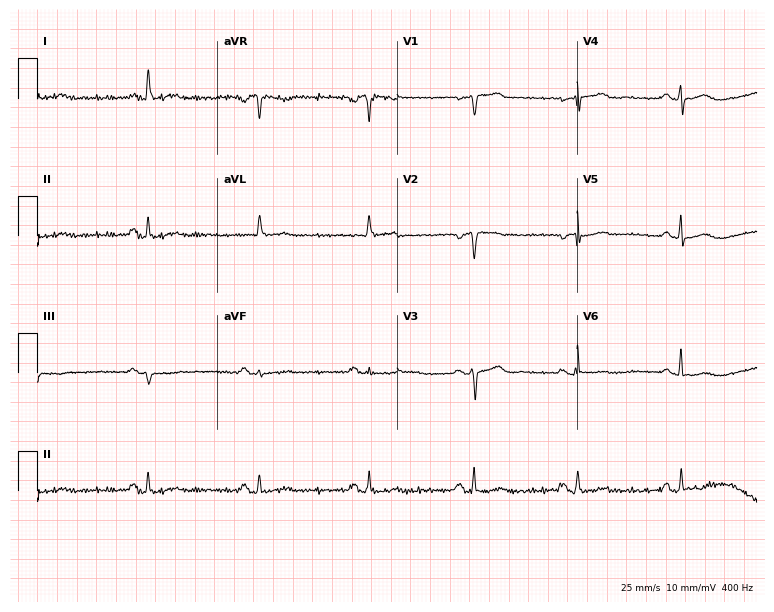
Resting 12-lead electrocardiogram (7.3-second recording at 400 Hz). Patient: a female, 71 years old. None of these six findings is recorded: first-degree AV block, right bundle branch block, left bundle branch block, sinus bradycardia, atrial fibrillation, sinus tachycardia.